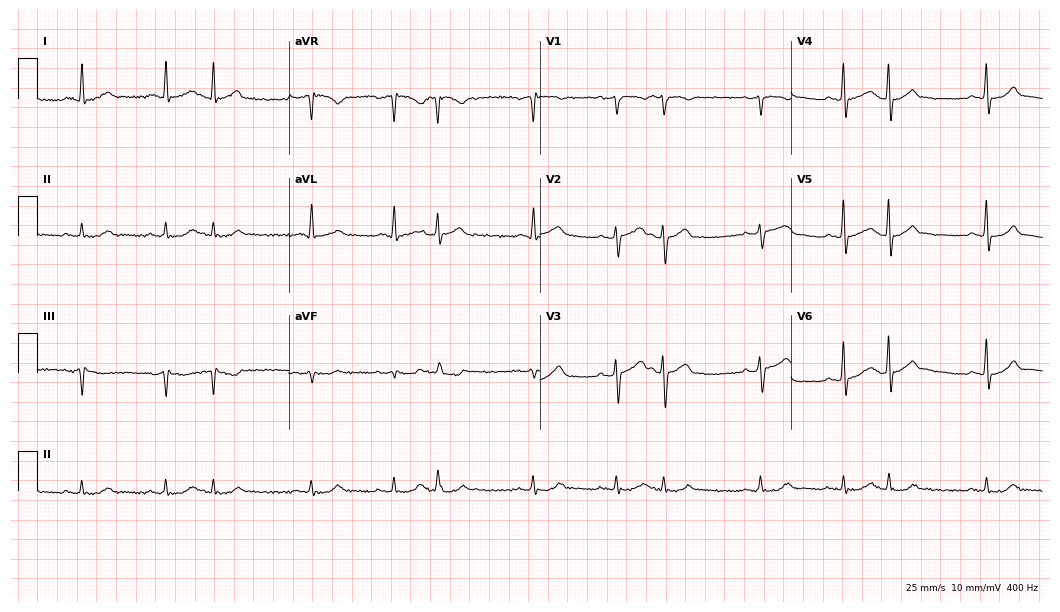
ECG (10.2-second recording at 400 Hz) — a 66-year-old male patient. Screened for six findings — first-degree AV block, right bundle branch block, left bundle branch block, sinus bradycardia, atrial fibrillation, sinus tachycardia — none is recorded.